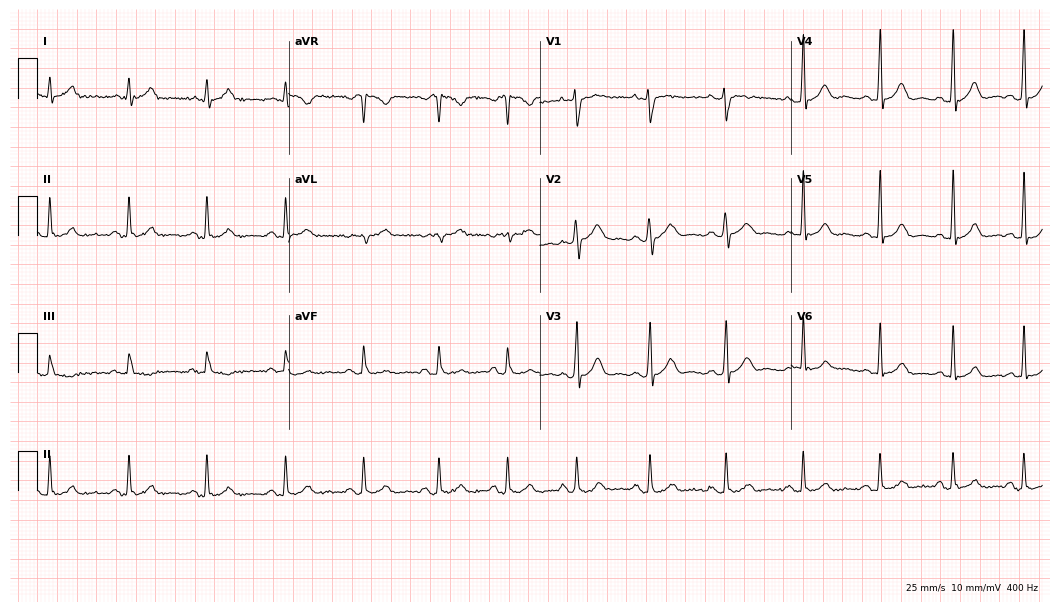
Standard 12-lead ECG recorded from a man, 30 years old. Read as a normal ECG.